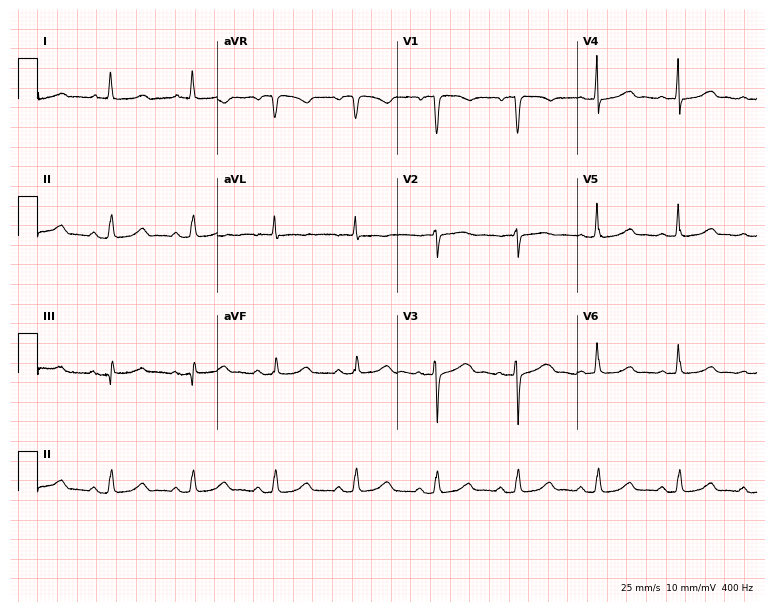
12-lead ECG from a 74-year-old female patient (7.3-second recording at 400 Hz). Recorded interpretation: within normal limits.